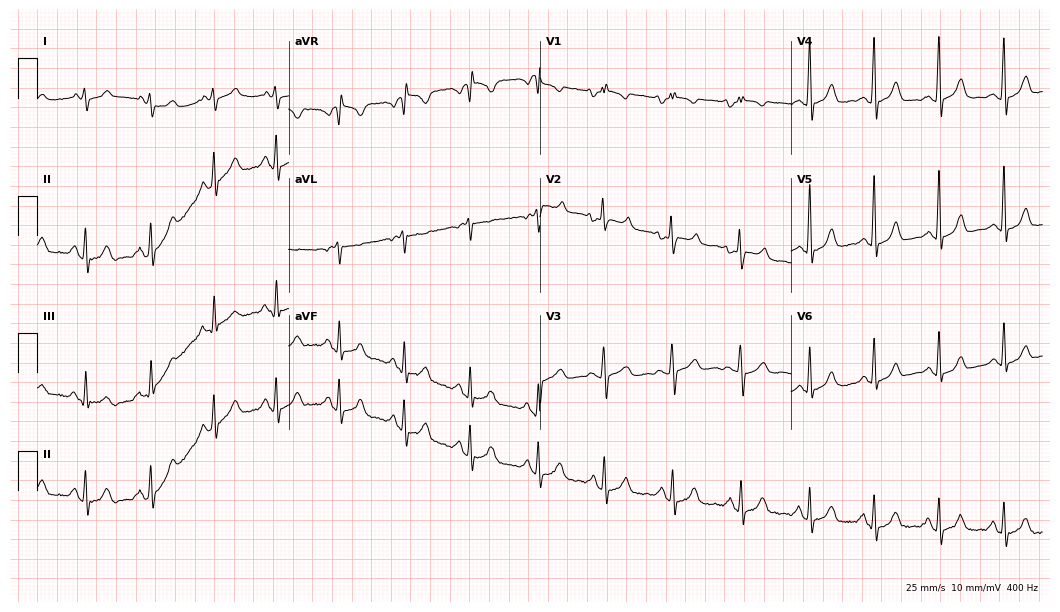
Standard 12-lead ECG recorded from a 27-year-old woman (10.2-second recording at 400 Hz). None of these six findings is recorded: first-degree AV block, right bundle branch block, left bundle branch block, sinus bradycardia, atrial fibrillation, sinus tachycardia.